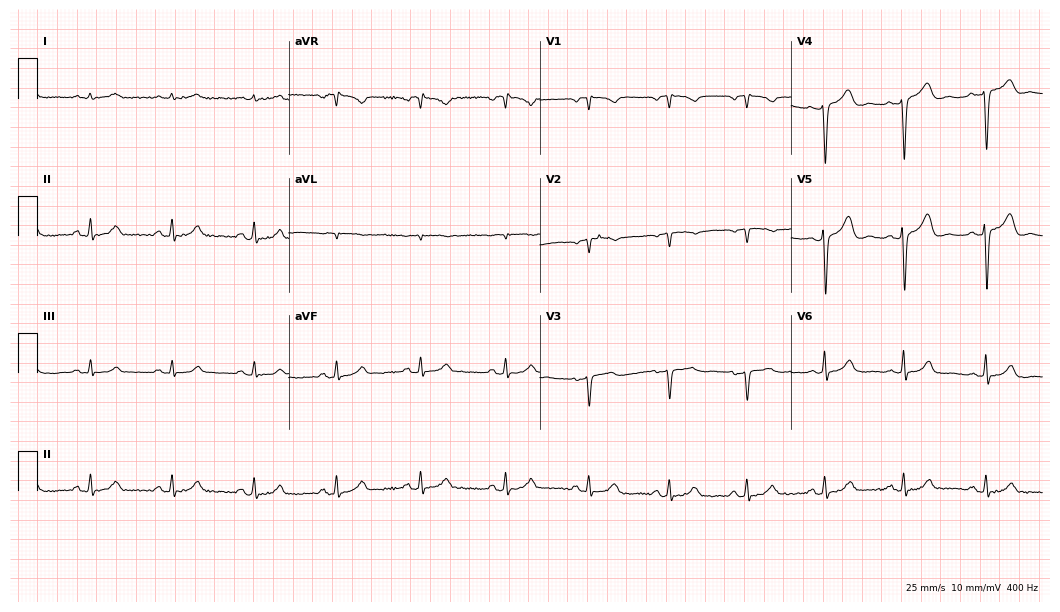
ECG — a 42-year-old woman. Screened for six findings — first-degree AV block, right bundle branch block, left bundle branch block, sinus bradycardia, atrial fibrillation, sinus tachycardia — none is recorded.